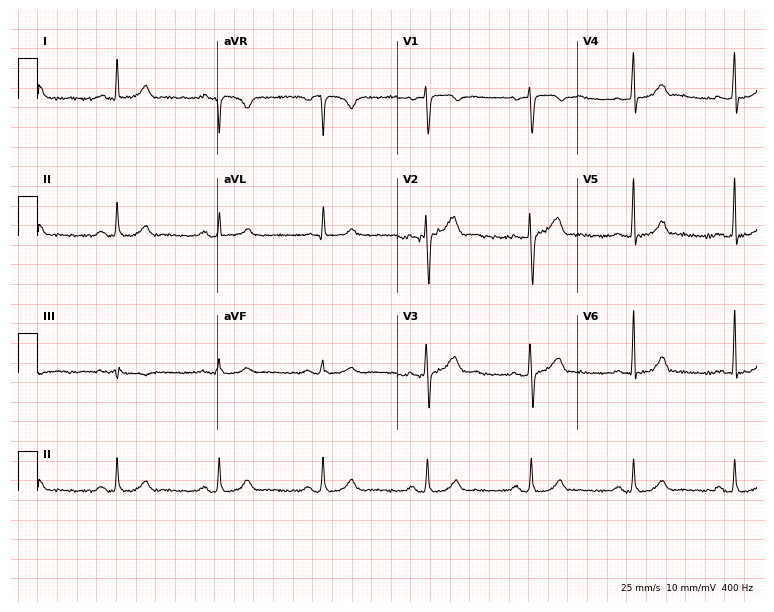
Electrocardiogram (7.3-second recording at 400 Hz), a 42-year-old male patient. Overall reading on record: normal ECG.